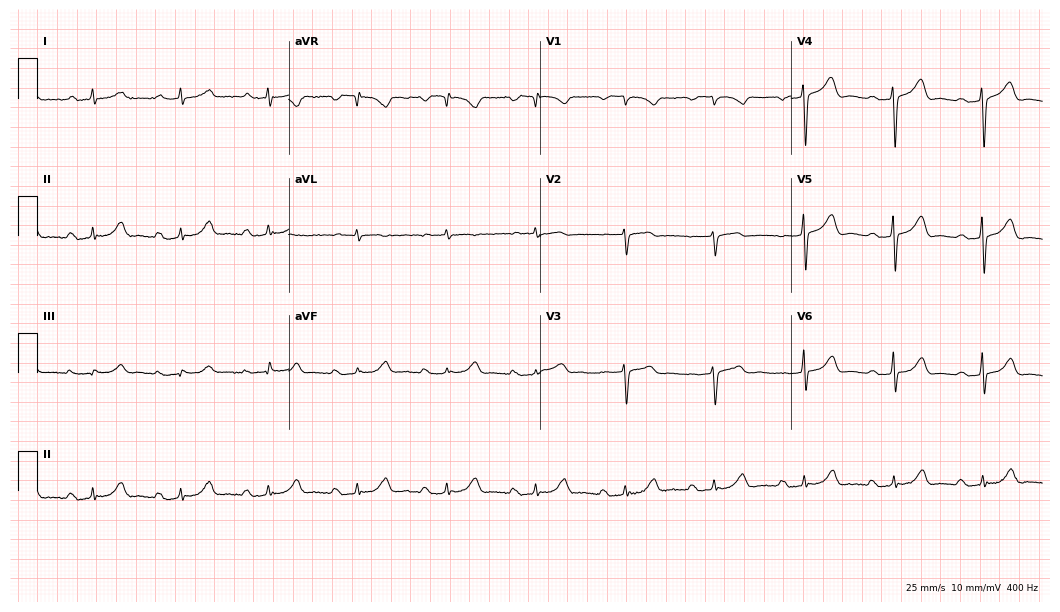
ECG — a 79-year-old female patient. Labelled as a normal ECG.